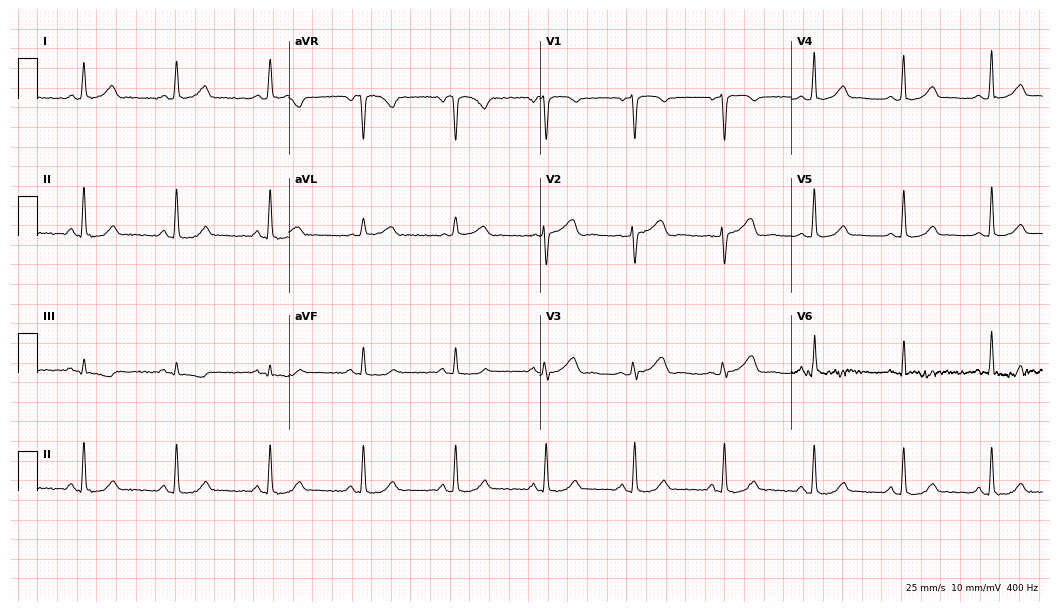
Electrocardiogram, a woman, 46 years old. Overall reading on record: normal ECG.